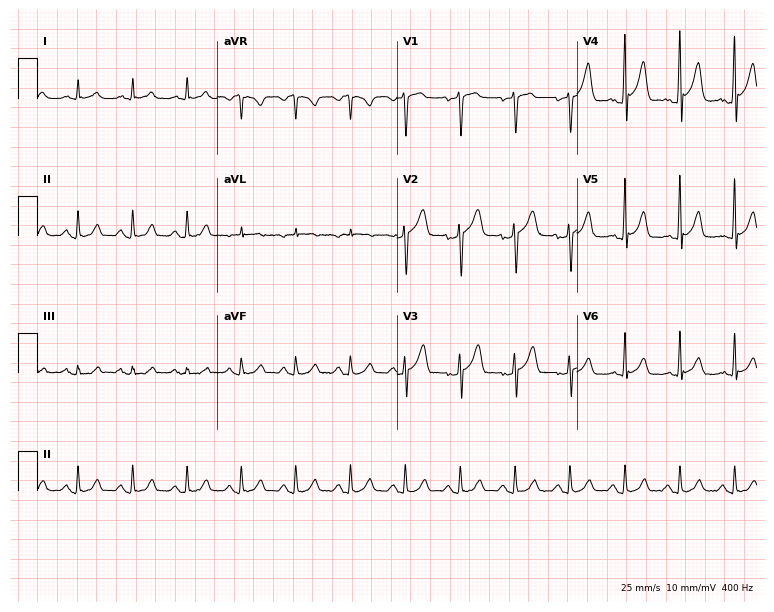
Electrocardiogram (7.3-second recording at 400 Hz), a male, 55 years old. Interpretation includes sinus tachycardia (a sinus rate of 100 beats per minute or more).